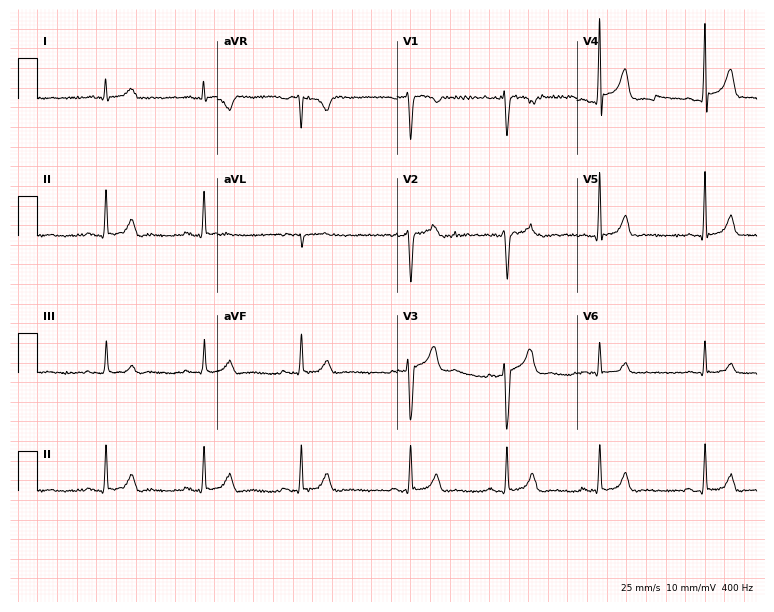
Resting 12-lead electrocardiogram. Patient: a 31-year-old male. Read as a normal ECG.